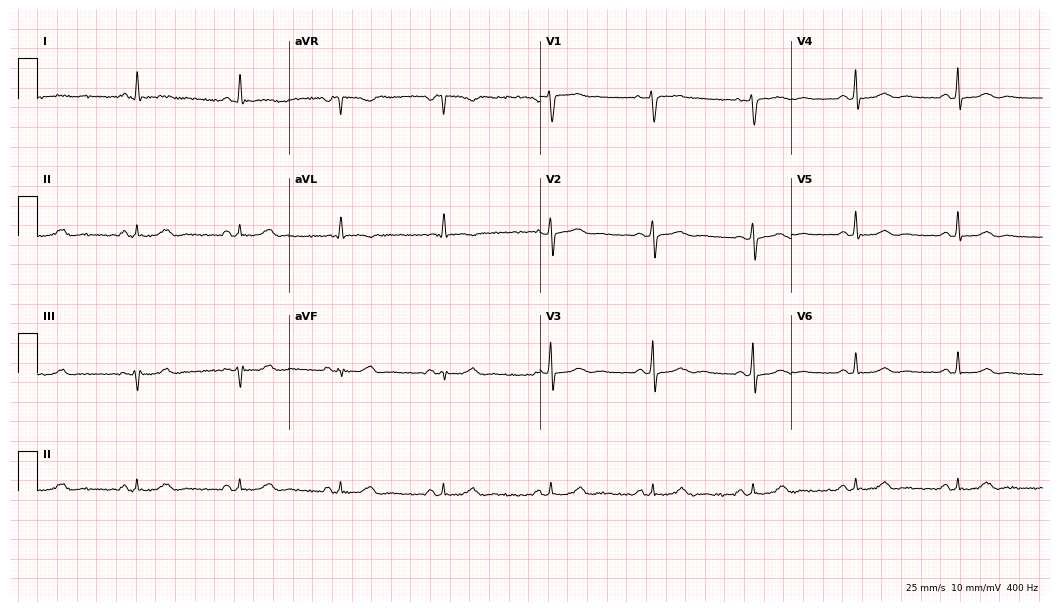
ECG — a woman, 51 years old. Labelled as a normal ECG.